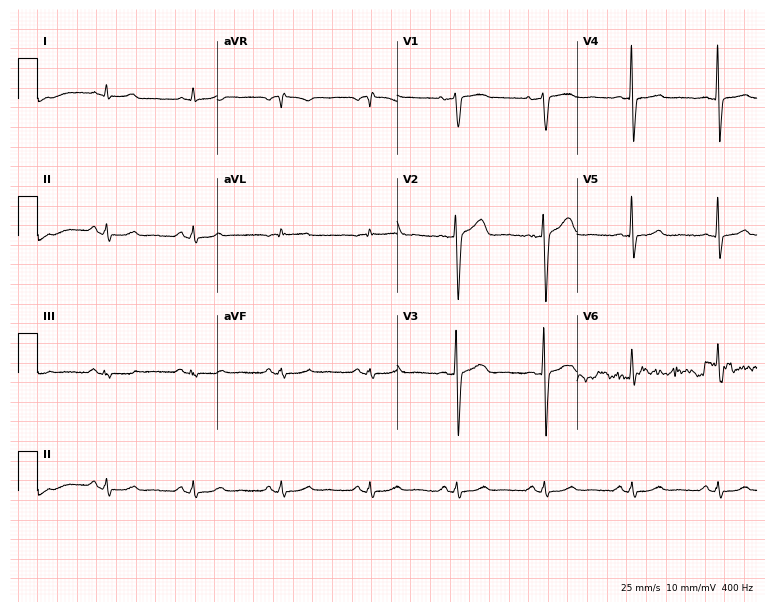
Standard 12-lead ECG recorded from a 39-year-old male patient. None of these six findings is recorded: first-degree AV block, right bundle branch block, left bundle branch block, sinus bradycardia, atrial fibrillation, sinus tachycardia.